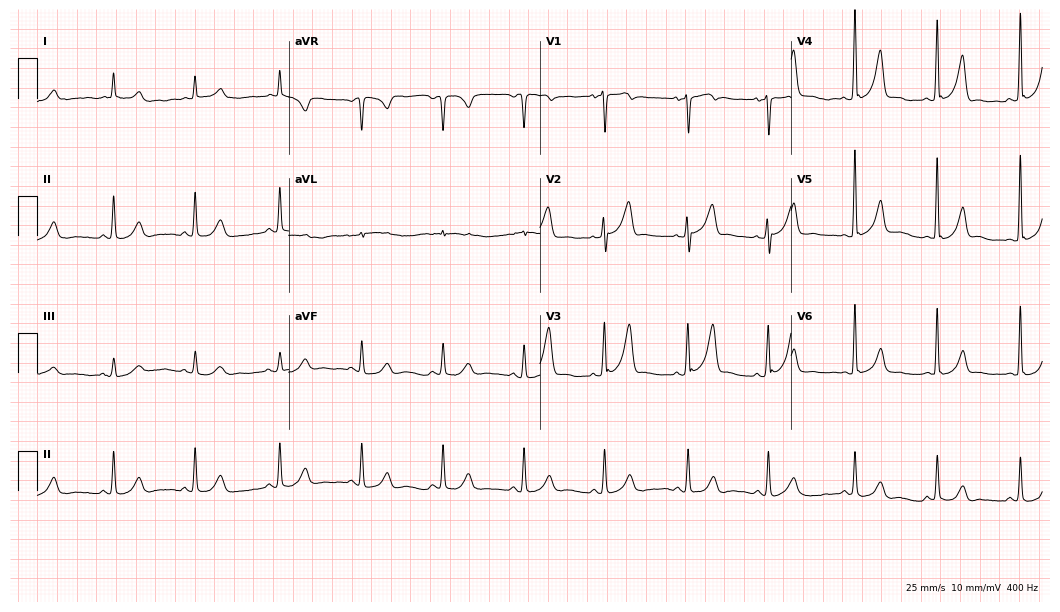
12-lead ECG from a male, 68 years old. Labelled as a normal ECG.